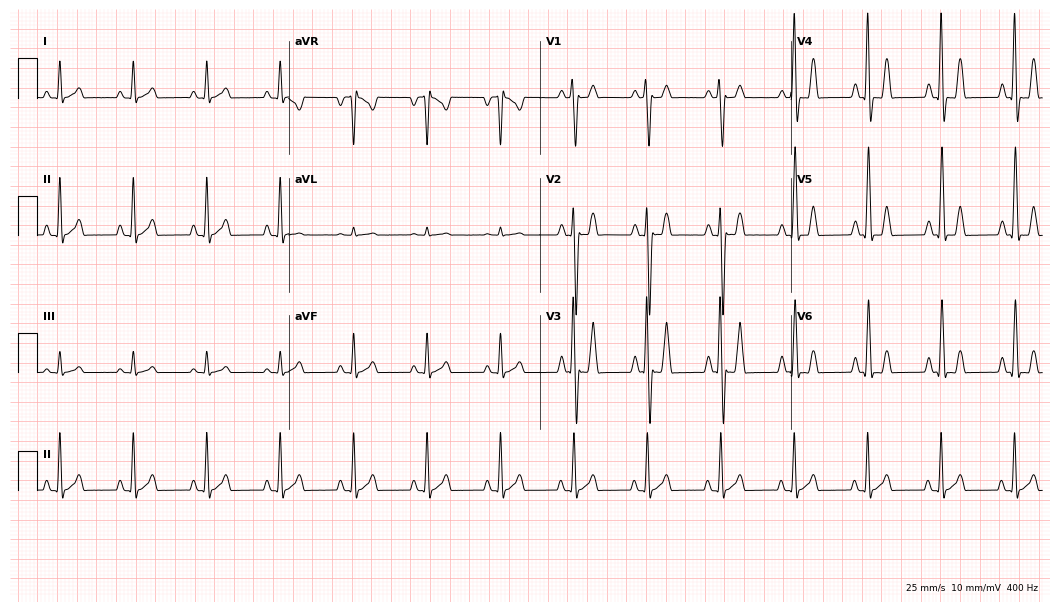
Standard 12-lead ECG recorded from a man, 33 years old (10.2-second recording at 400 Hz). None of these six findings is recorded: first-degree AV block, right bundle branch block, left bundle branch block, sinus bradycardia, atrial fibrillation, sinus tachycardia.